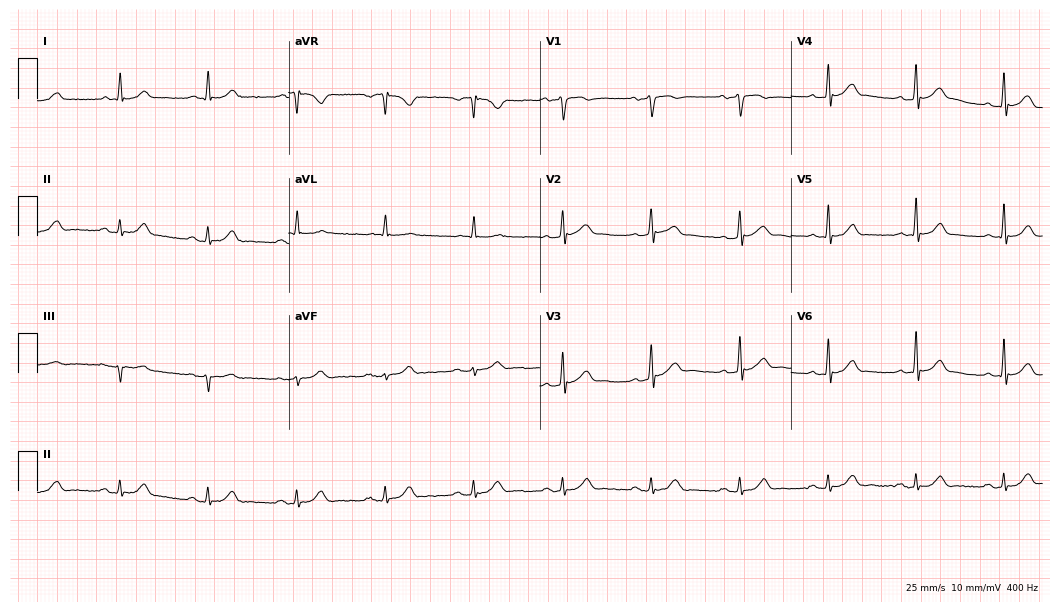
12-lead ECG (10.2-second recording at 400 Hz) from a male, 78 years old. Labelled as a normal ECG.